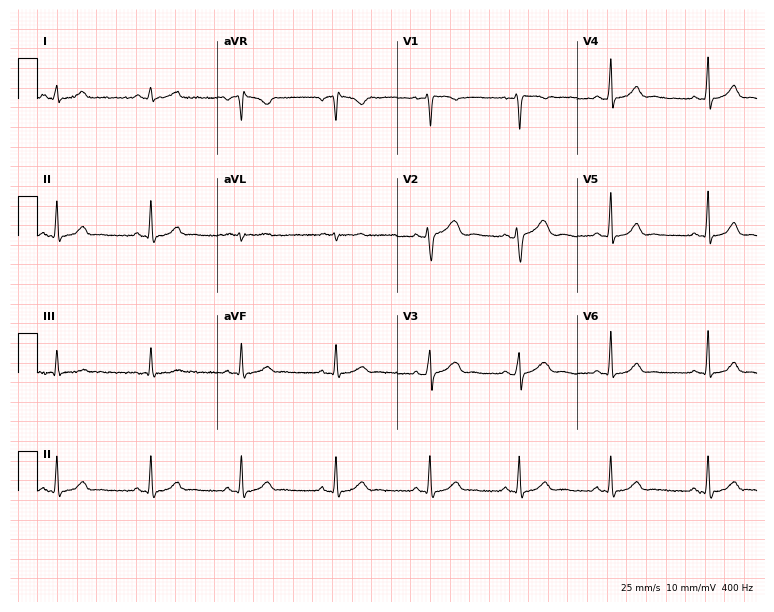
Resting 12-lead electrocardiogram. Patient: a woman, 25 years old. Read as a normal ECG.